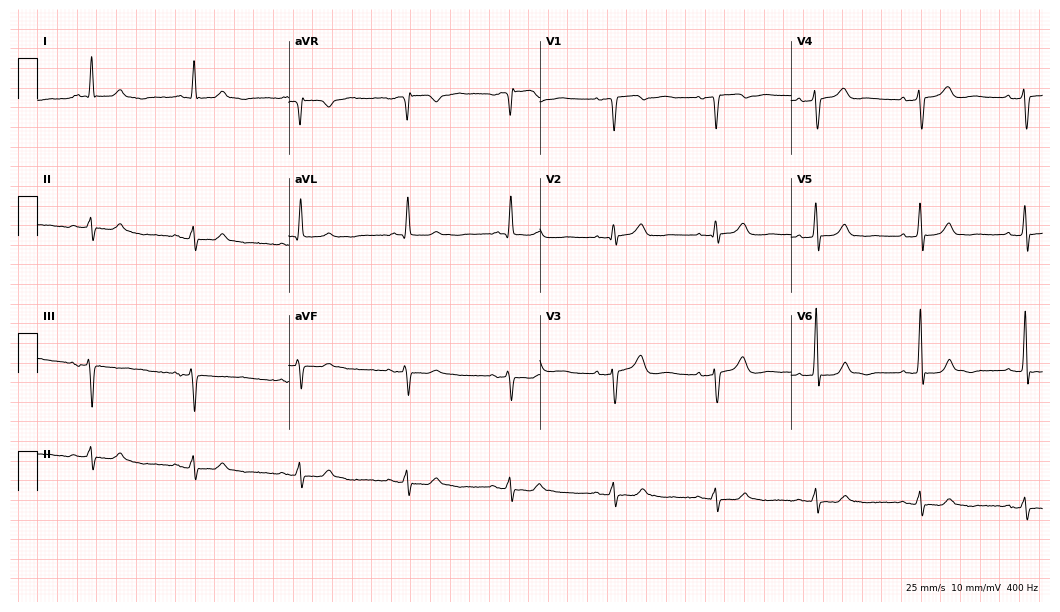
Standard 12-lead ECG recorded from a 67-year-old male patient (10.2-second recording at 400 Hz). None of these six findings is recorded: first-degree AV block, right bundle branch block, left bundle branch block, sinus bradycardia, atrial fibrillation, sinus tachycardia. Only these six findings were labelled.